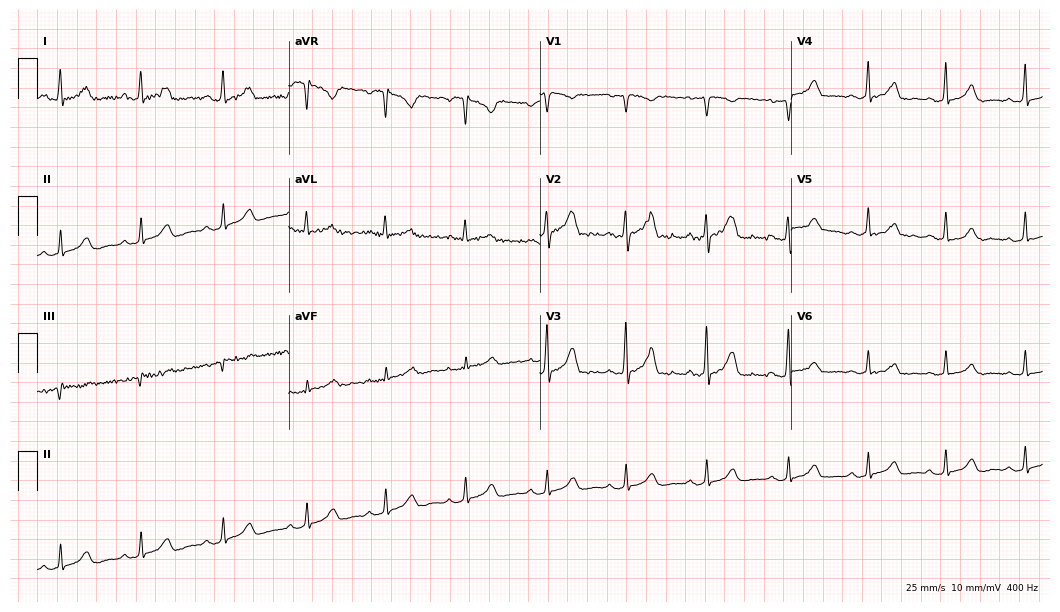
ECG (10.2-second recording at 400 Hz) — a 33-year-old woman. Labelled as a normal ECG.